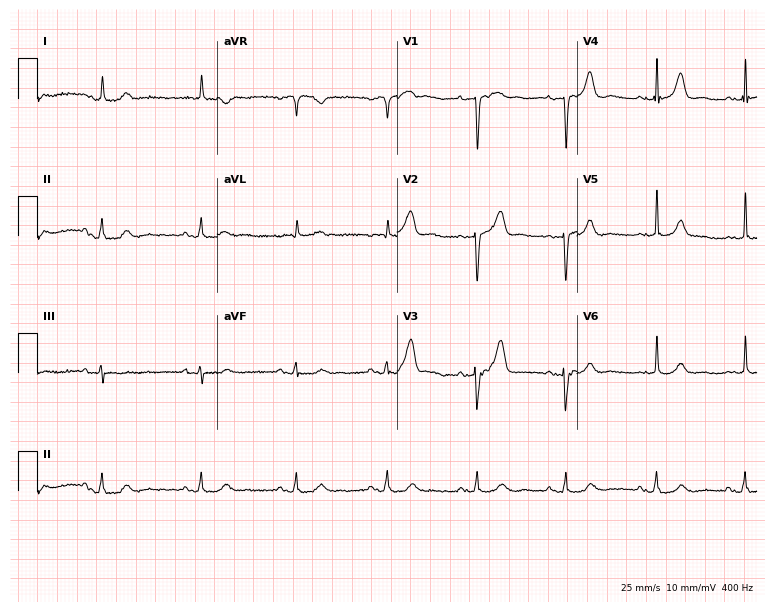
Resting 12-lead electrocardiogram. Patient: an 82-year-old male. None of these six findings is recorded: first-degree AV block, right bundle branch block, left bundle branch block, sinus bradycardia, atrial fibrillation, sinus tachycardia. Findings outside these six are not listed.